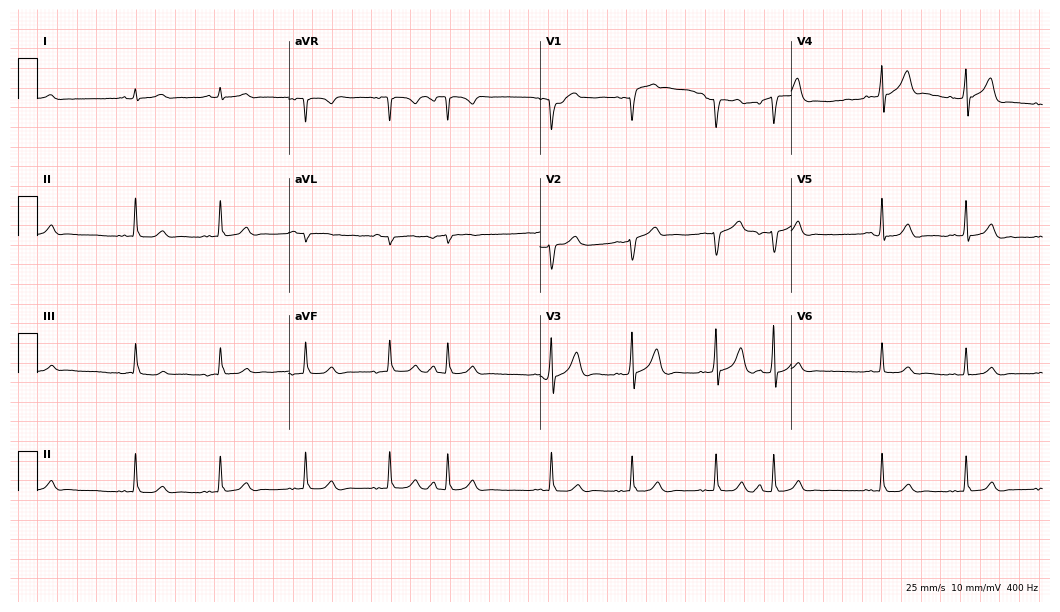
12-lead ECG from a 60-year-old male patient. No first-degree AV block, right bundle branch block, left bundle branch block, sinus bradycardia, atrial fibrillation or sinus tachycardia recorded for this tracing. Other findings, if any, are not listed.